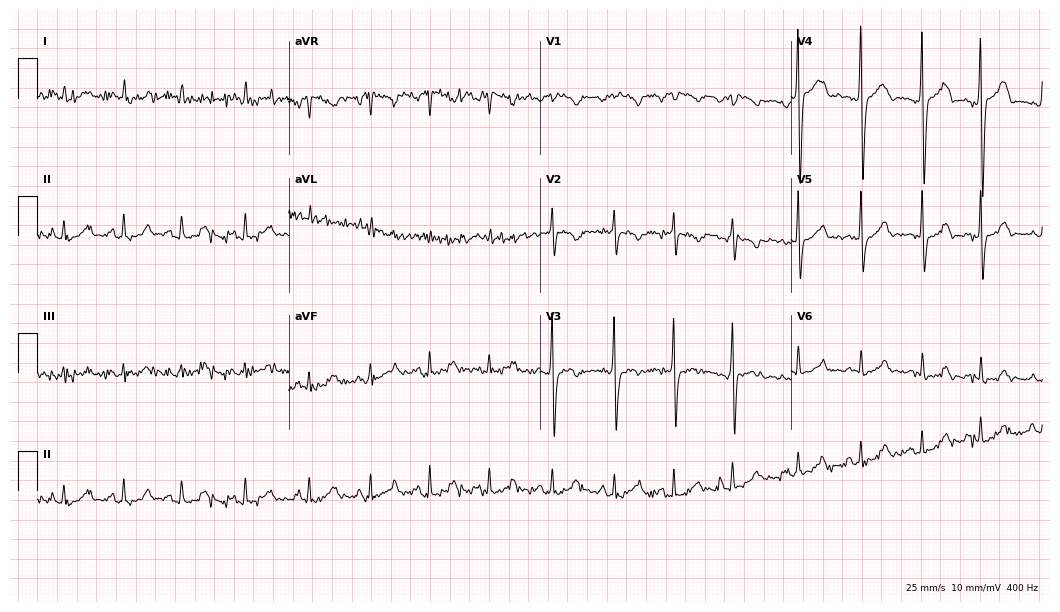
12-lead ECG from a 32-year-old man. Screened for six findings — first-degree AV block, right bundle branch block, left bundle branch block, sinus bradycardia, atrial fibrillation, sinus tachycardia — none is recorded.